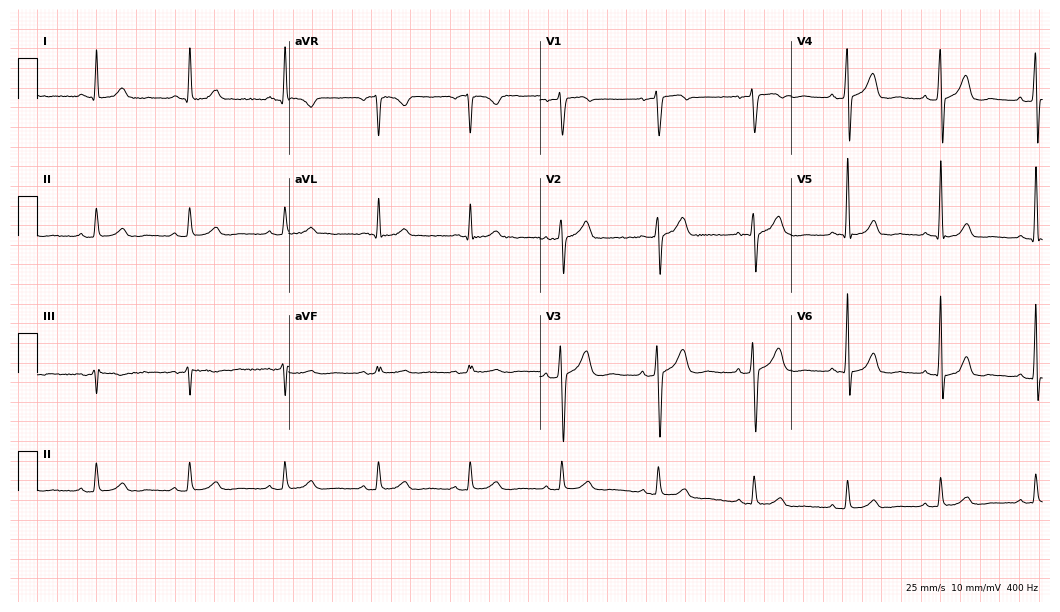
ECG (10.2-second recording at 400 Hz) — a 44-year-old man. Labelled as a normal ECG.